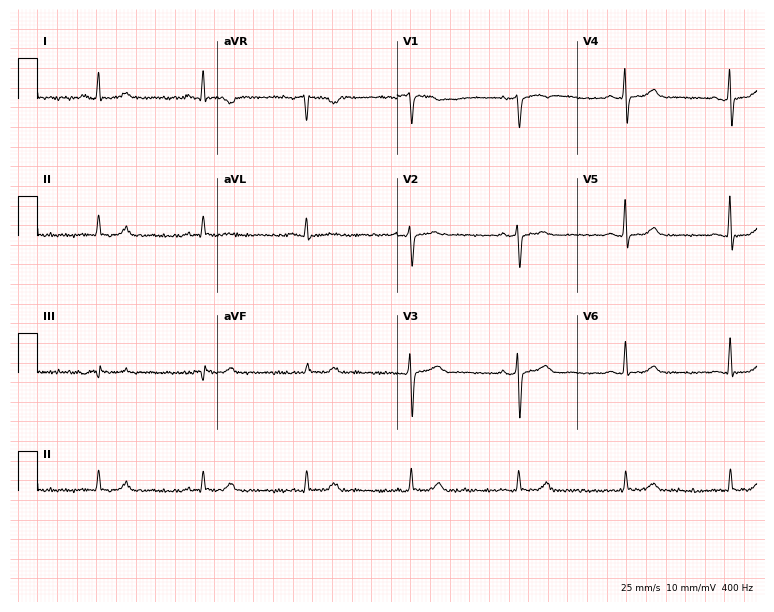
12-lead ECG (7.3-second recording at 400 Hz) from a female, 64 years old. Labelled as a normal ECG.